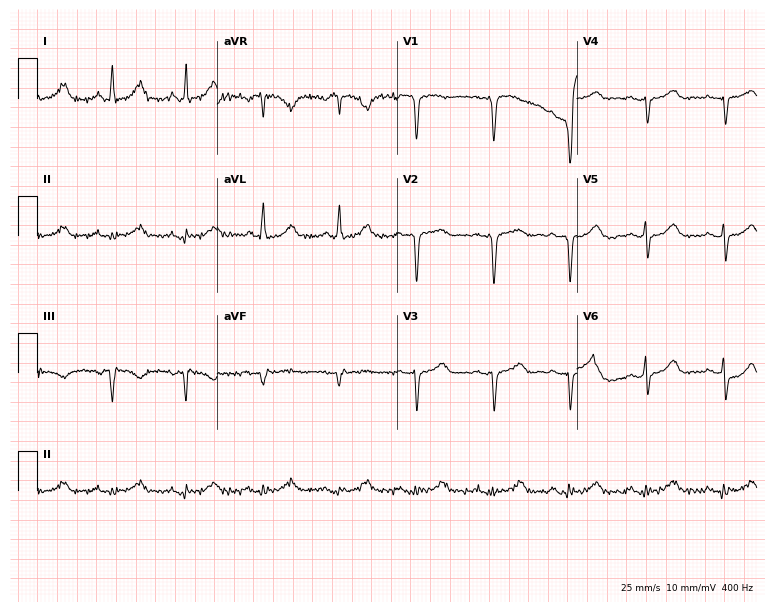
Resting 12-lead electrocardiogram. Patient: a 52-year-old female. None of these six findings is recorded: first-degree AV block, right bundle branch block, left bundle branch block, sinus bradycardia, atrial fibrillation, sinus tachycardia.